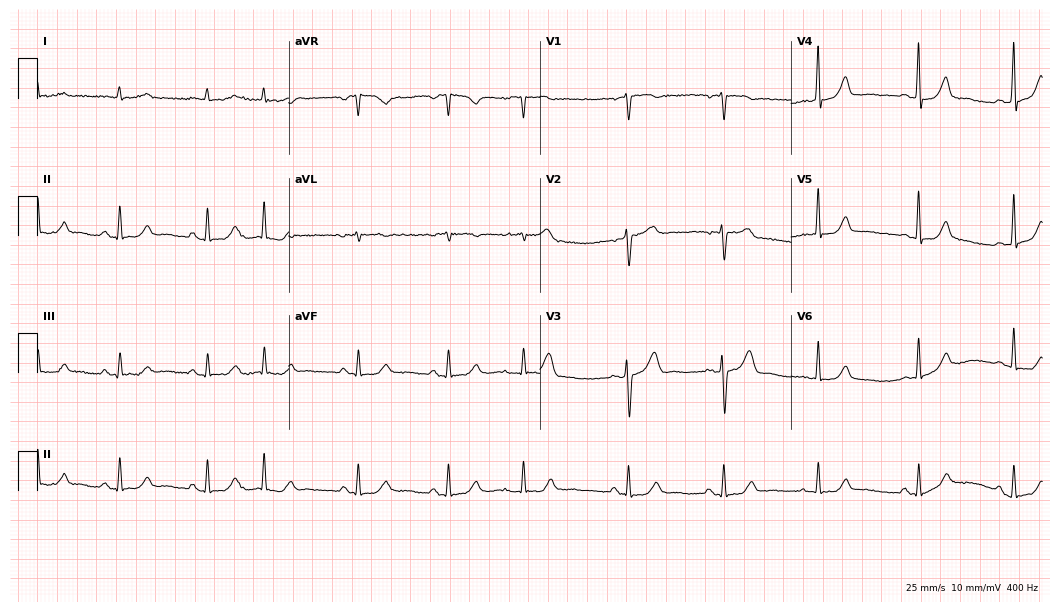
ECG — a 64-year-old female. Labelled as a normal ECG.